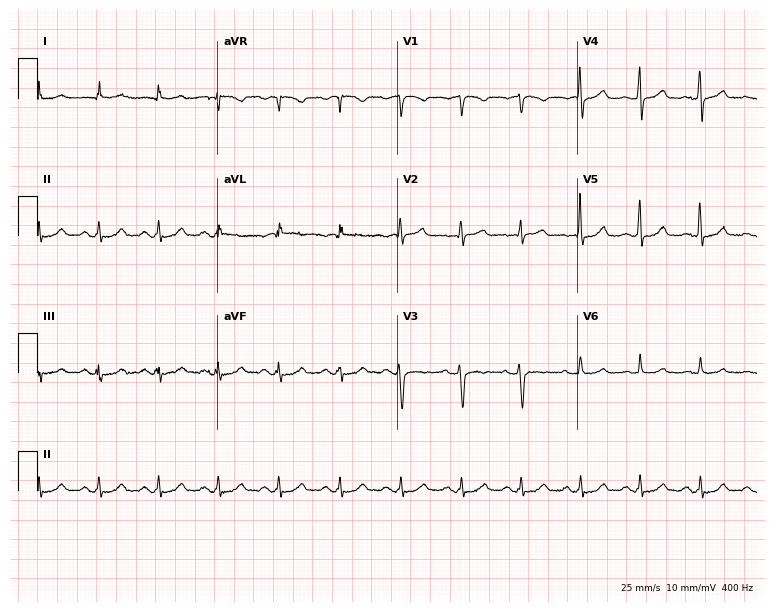
Standard 12-lead ECG recorded from a 49-year-old female patient (7.3-second recording at 400 Hz). None of these six findings is recorded: first-degree AV block, right bundle branch block (RBBB), left bundle branch block (LBBB), sinus bradycardia, atrial fibrillation (AF), sinus tachycardia. Findings outside these six are not listed.